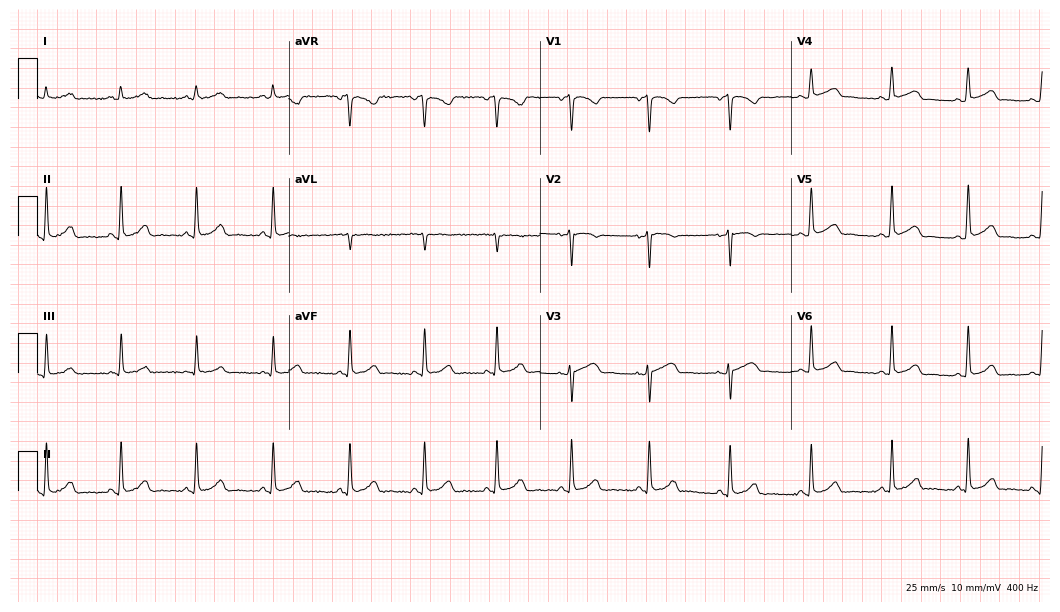
ECG (10.2-second recording at 400 Hz) — a woman, 53 years old. Labelled as a normal ECG.